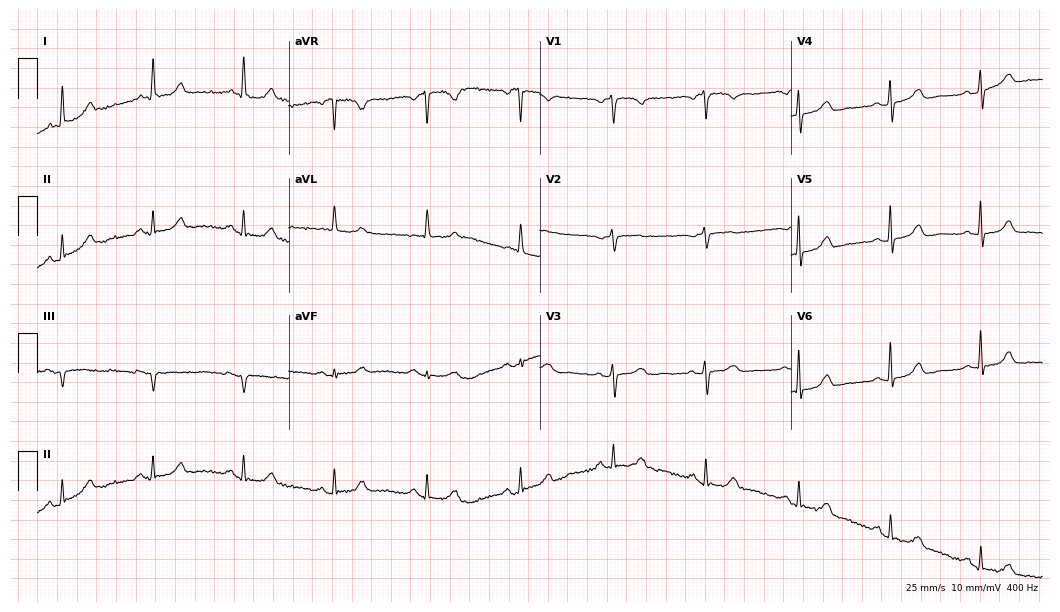
Standard 12-lead ECG recorded from an 85-year-old female (10.2-second recording at 400 Hz). Read as a normal ECG.